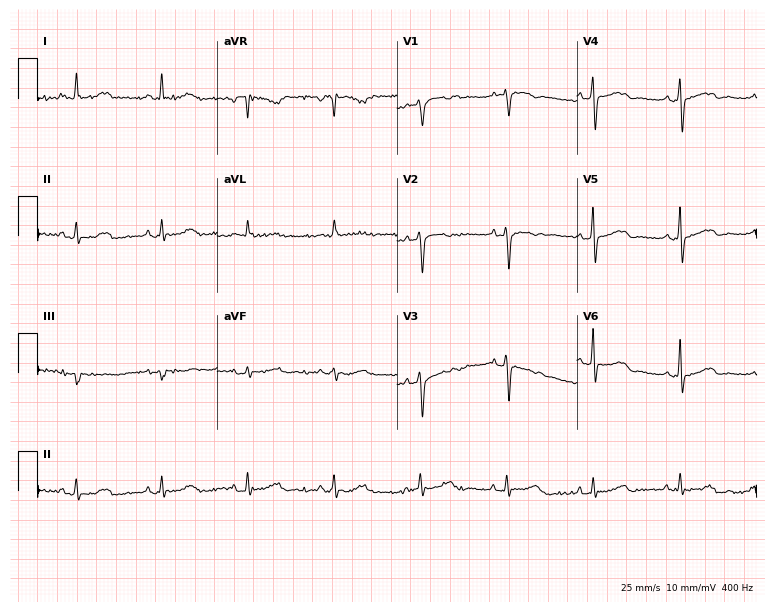
Standard 12-lead ECG recorded from a 74-year-old woman (7.3-second recording at 400 Hz). None of these six findings is recorded: first-degree AV block, right bundle branch block (RBBB), left bundle branch block (LBBB), sinus bradycardia, atrial fibrillation (AF), sinus tachycardia. Other findings, if any, are not listed.